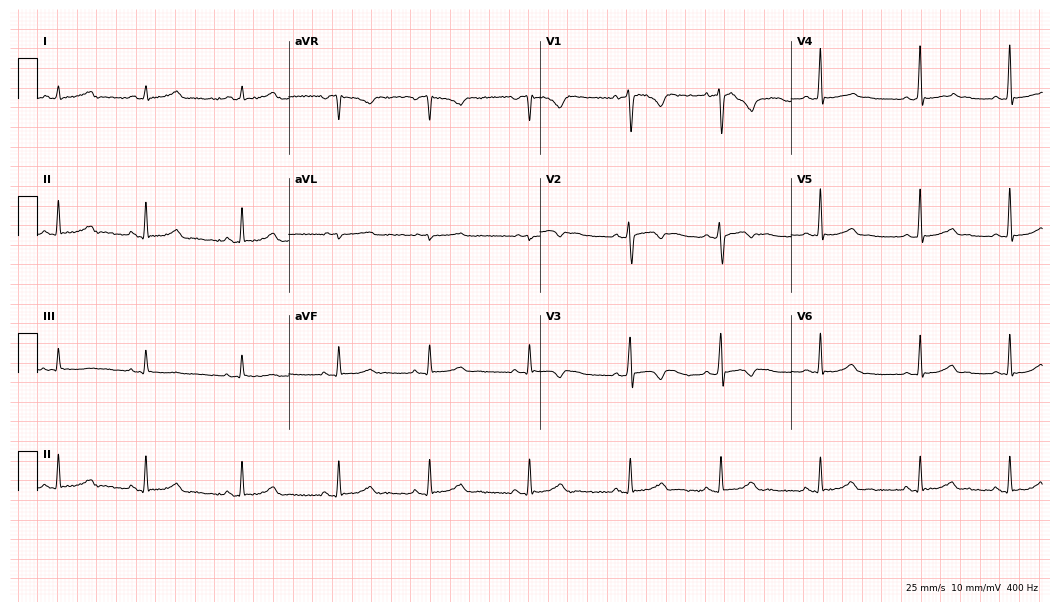
ECG (10.2-second recording at 400 Hz) — a 28-year-old woman. Labelled as a normal ECG.